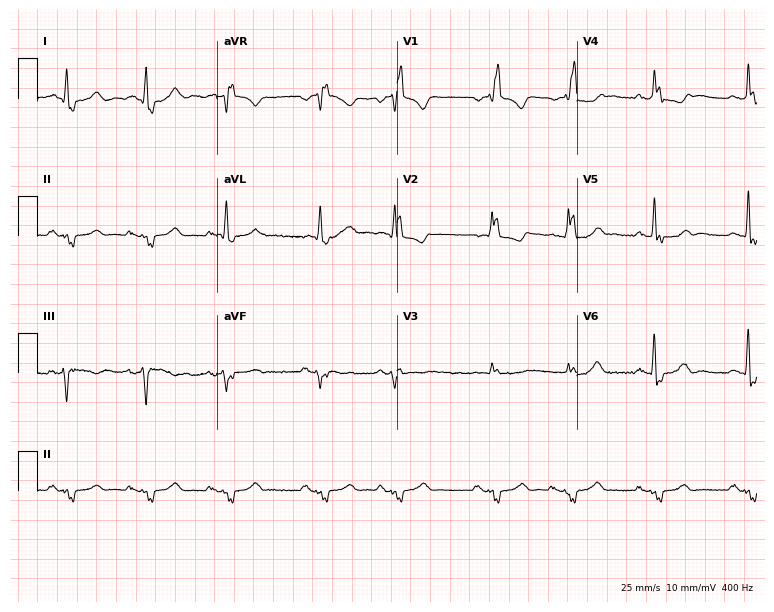
Standard 12-lead ECG recorded from a 74-year-old male (7.3-second recording at 400 Hz). The tracing shows right bundle branch block (RBBB), left bundle branch block (LBBB).